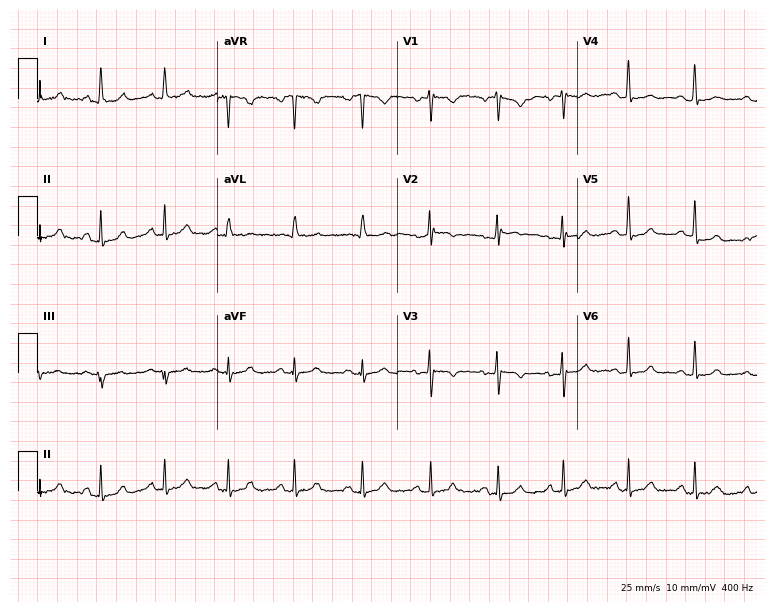
Electrocardiogram (7.3-second recording at 400 Hz), a 39-year-old woman. Overall reading on record: normal ECG.